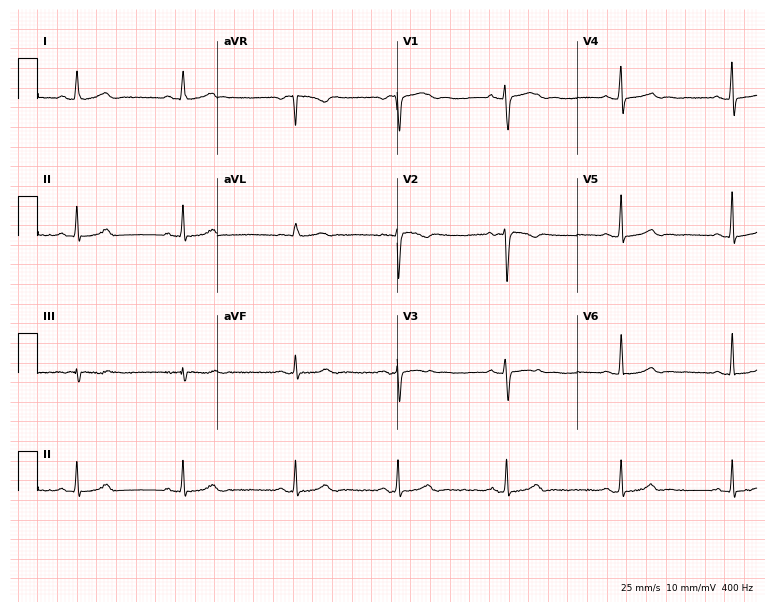
ECG (7.3-second recording at 400 Hz) — a female patient, 23 years old. Labelled as a normal ECG.